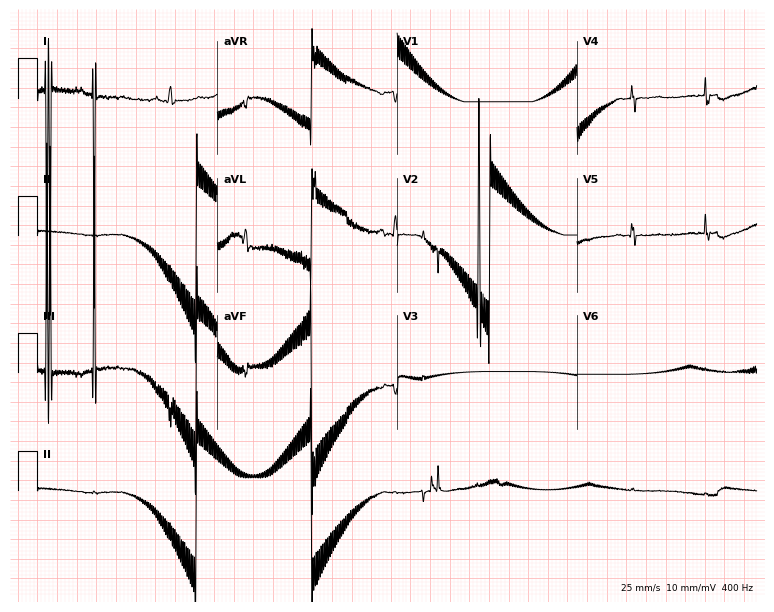
12-lead ECG from a 73-year-old female. Screened for six findings — first-degree AV block, right bundle branch block, left bundle branch block, sinus bradycardia, atrial fibrillation, sinus tachycardia — none is recorded.